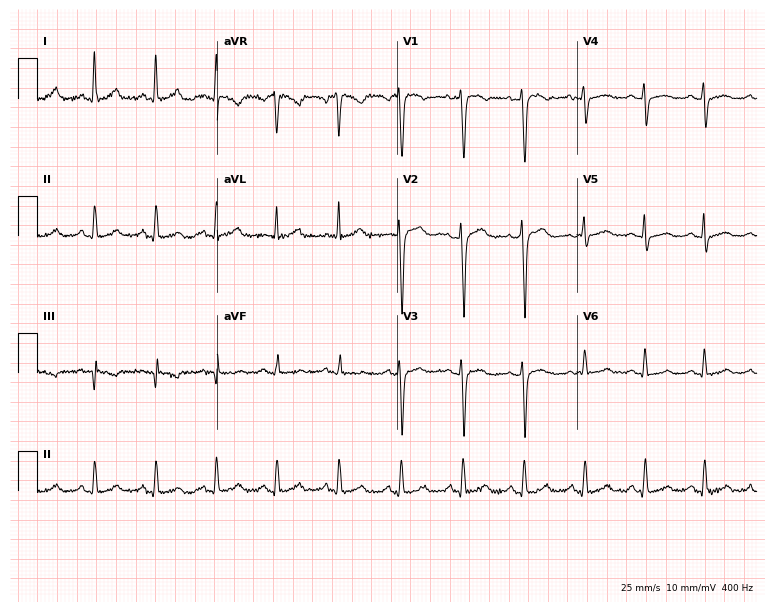
12-lead ECG (7.3-second recording at 400 Hz) from a female patient, 22 years old. Screened for six findings — first-degree AV block, right bundle branch block, left bundle branch block, sinus bradycardia, atrial fibrillation, sinus tachycardia — none is recorded. Other findings, if any, are not listed.